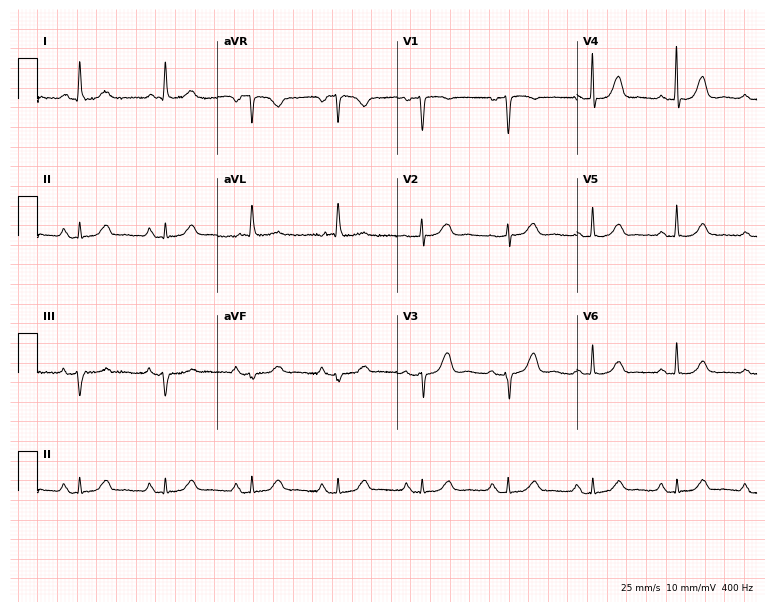
Resting 12-lead electrocardiogram (7.3-second recording at 400 Hz). Patient: a female, 84 years old. None of these six findings is recorded: first-degree AV block, right bundle branch block (RBBB), left bundle branch block (LBBB), sinus bradycardia, atrial fibrillation (AF), sinus tachycardia. Other findings, if any, are not listed.